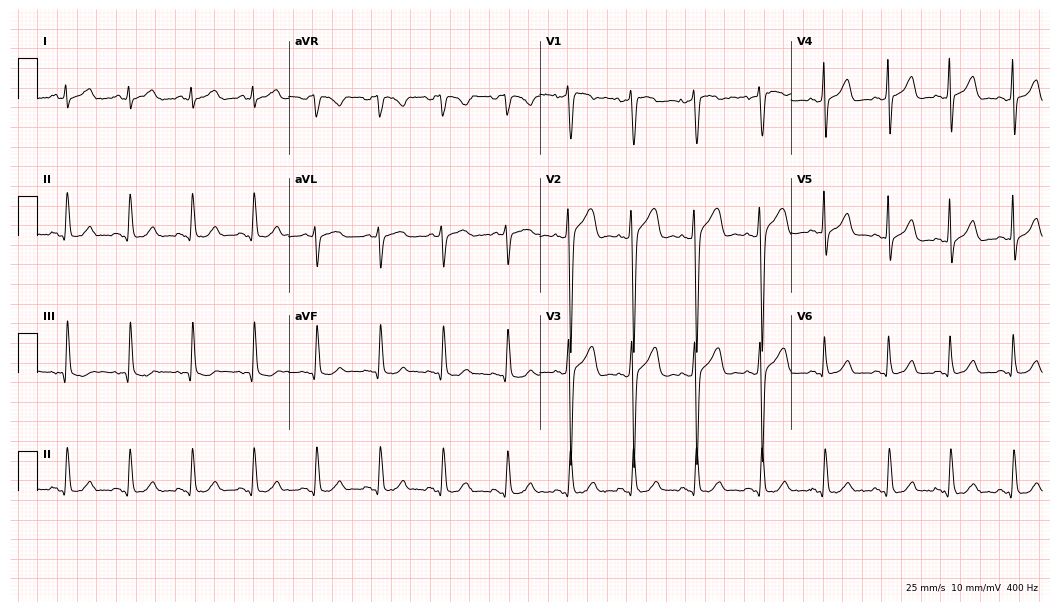
12-lead ECG from a 36-year-old male patient. Labelled as a normal ECG.